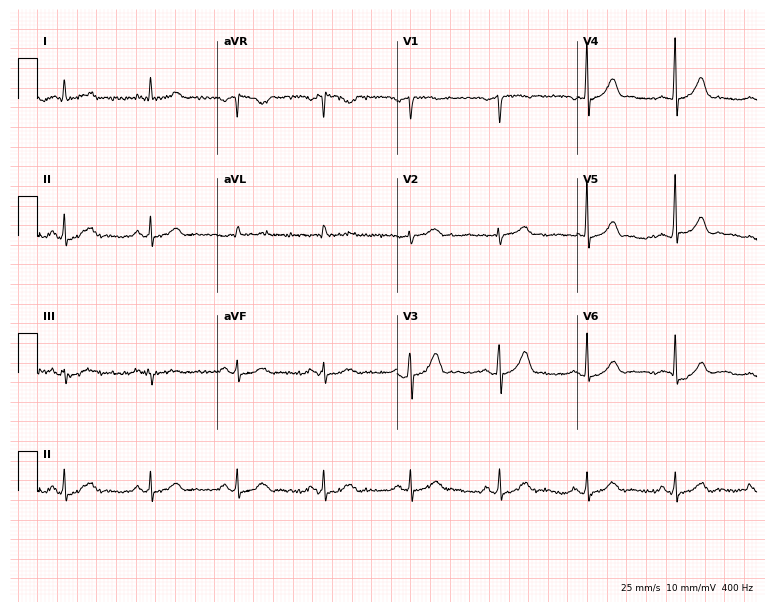
ECG (7.3-second recording at 400 Hz) — a male, 55 years old. Labelled as a normal ECG.